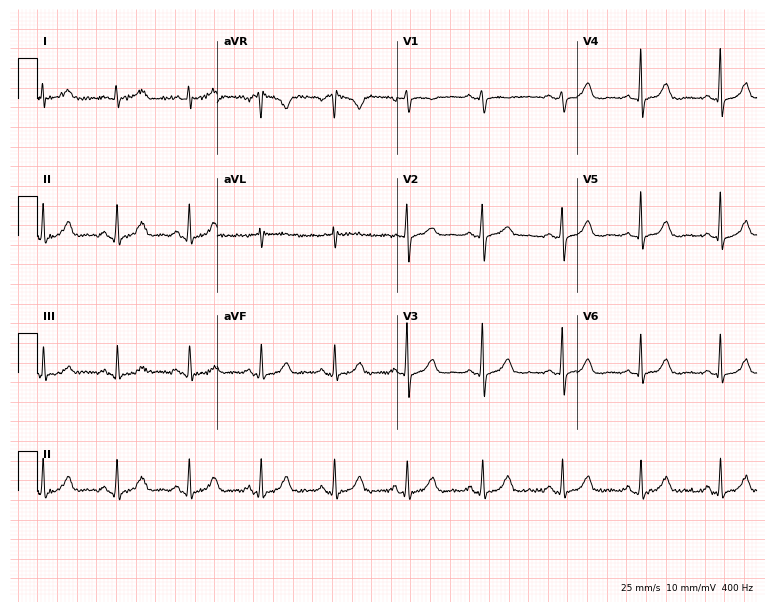
Resting 12-lead electrocardiogram. Patient: a 43-year-old female. Read as a normal ECG.